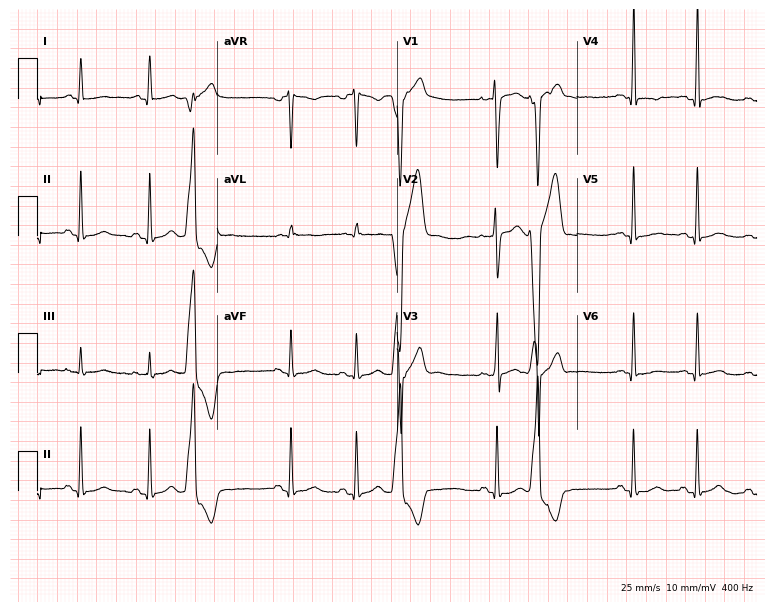
12-lead ECG from a male, 27 years old. No first-degree AV block, right bundle branch block, left bundle branch block, sinus bradycardia, atrial fibrillation or sinus tachycardia recorded for this tracing.